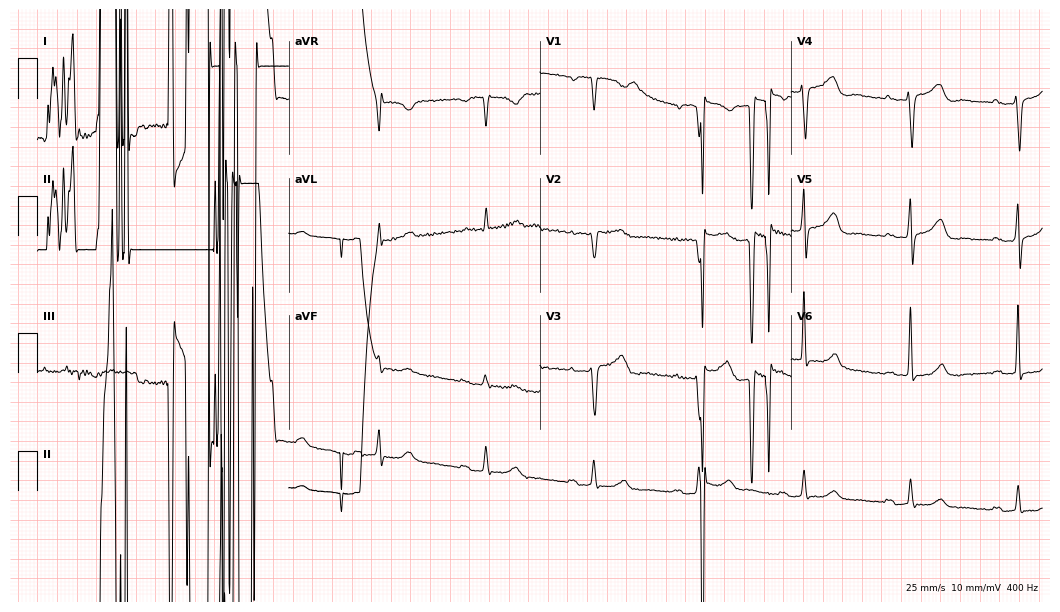
ECG — a 68-year-old female. Screened for six findings — first-degree AV block, right bundle branch block, left bundle branch block, sinus bradycardia, atrial fibrillation, sinus tachycardia — none is recorded.